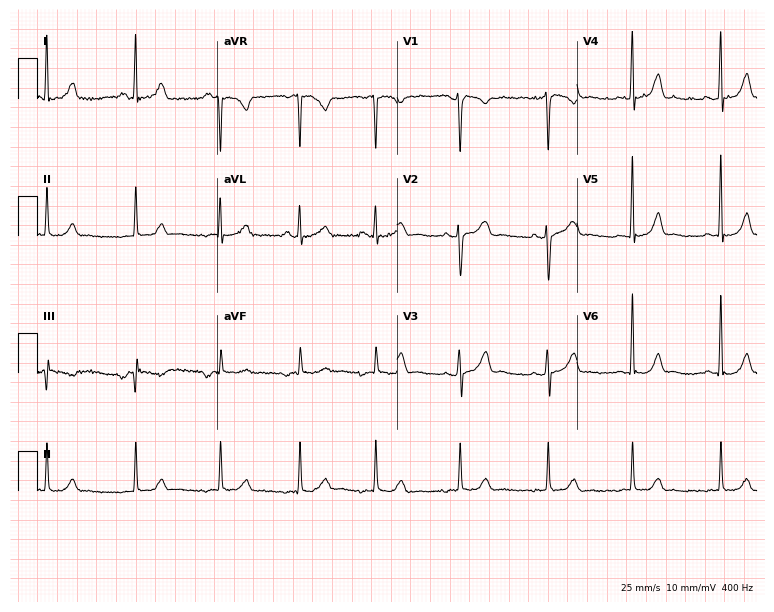
12-lead ECG from a female, 49 years old (7.3-second recording at 400 Hz). Recorded interpretation: within normal limits.